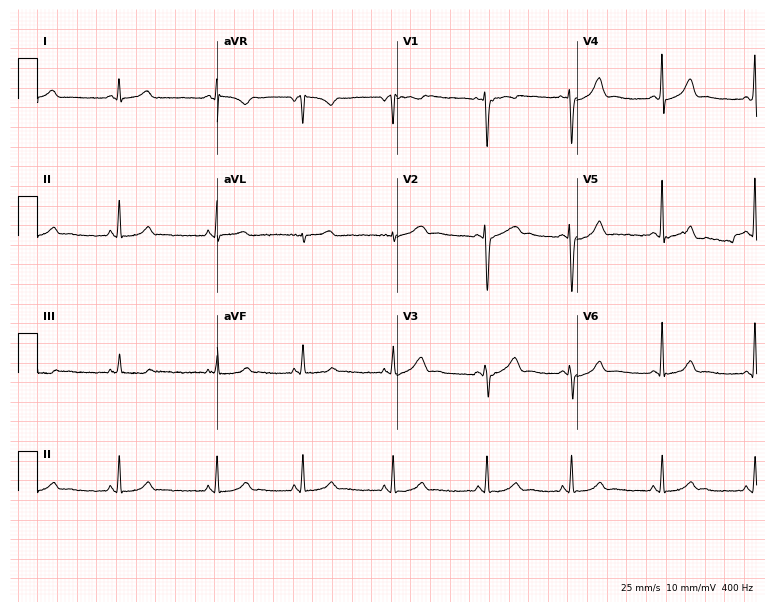
Electrocardiogram (7.3-second recording at 400 Hz), a 23-year-old female patient. Of the six screened findings (first-degree AV block, right bundle branch block (RBBB), left bundle branch block (LBBB), sinus bradycardia, atrial fibrillation (AF), sinus tachycardia), none is recorded. Findings outside these six are not listed.